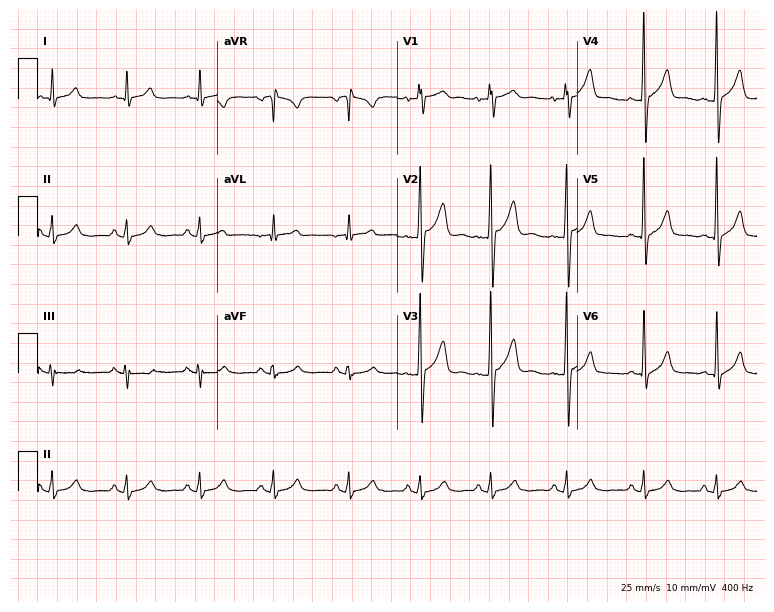
Electrocardiogram (7.3-second recording at 400 Hz), a male patient, 30 years old. Of the six screened findings (first-degree AV block, right bundle branch block, left bundle branch block, sinus bradycardia, atrial fibrillation, sinus tachycardia), none is recorded. Findings outside these six are not listed.